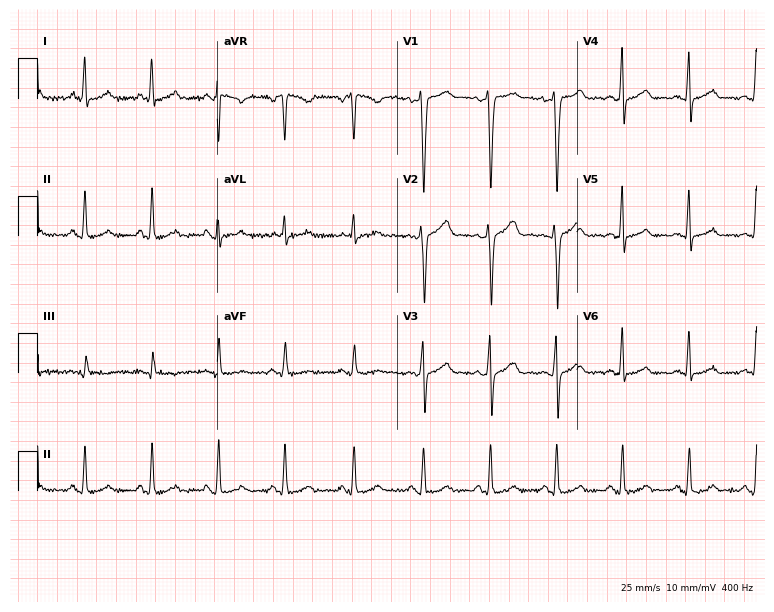
ECG — a woman, 28 years old. Screened for six findings — first-degree AV block, right bundle branch block, left bundle branch block, sinus bradycardia, atrial fibrillation, sinus tachycardia — none is recorded.